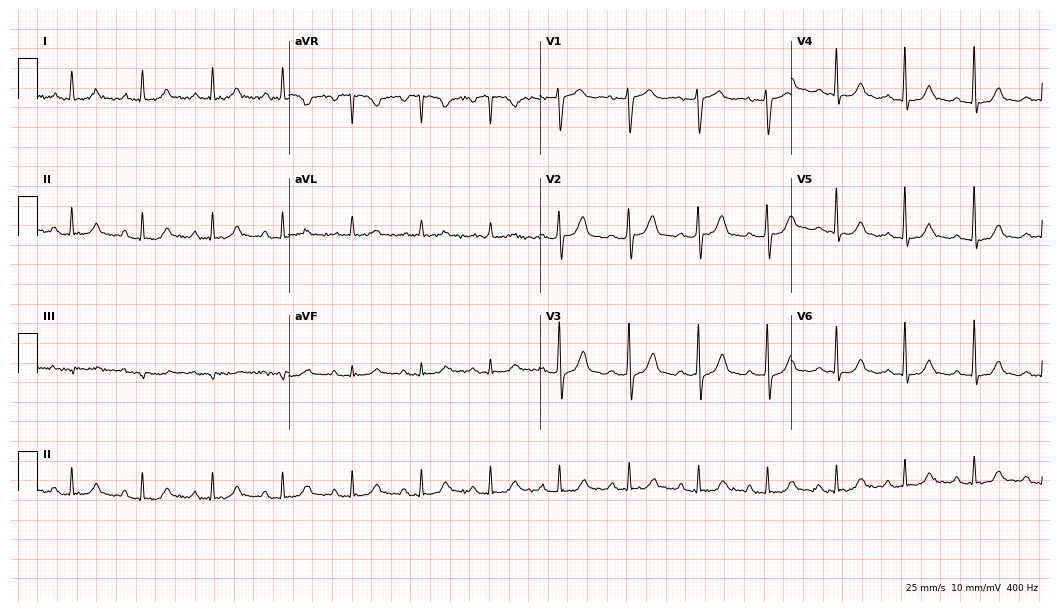
Standard 12-lead ECG recorded from a 75-year-old female patient. None of these six findings is recorded: first-degree AV block, right bundle branch block, left bundle branch block, sinus bradycardia, atrial fibrillation, sinus tachycardia. Findings outside these six are not listed.